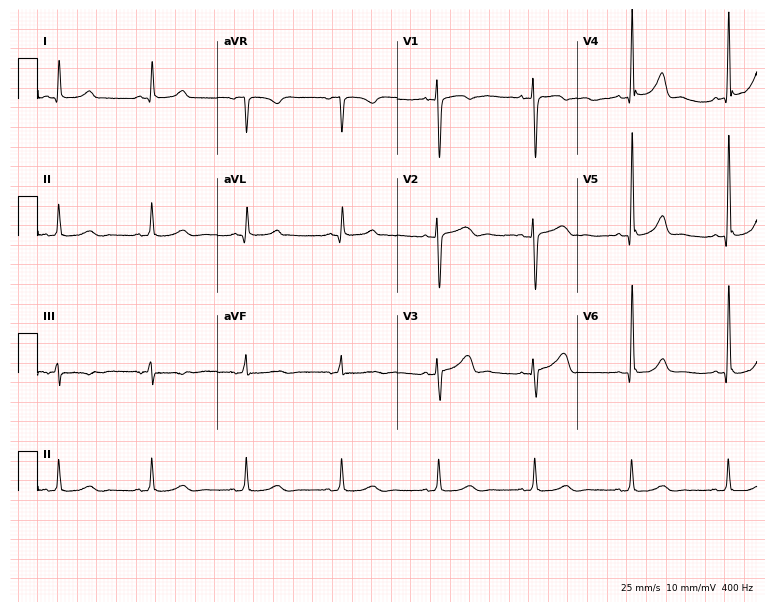
12-lead ECG from a 51-year-old male. Recorded interpretation: within normal limits.